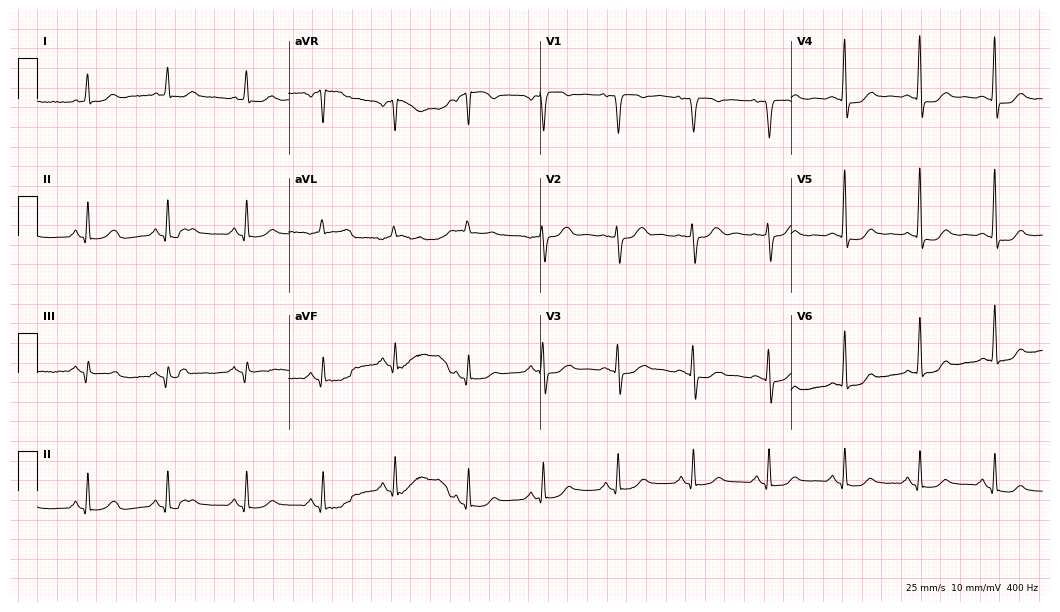
Standard 12-lead ECG recorded from a 58-year-old female (10.2-second recording at 400 Hz). Read as a normal ECG.